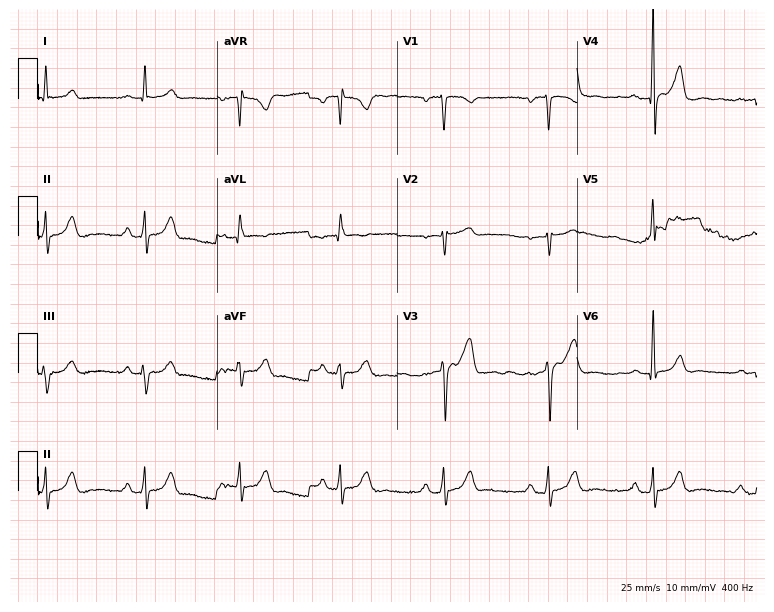
ECG — a 67-year-old male patient. Labelled as a normal ECG.